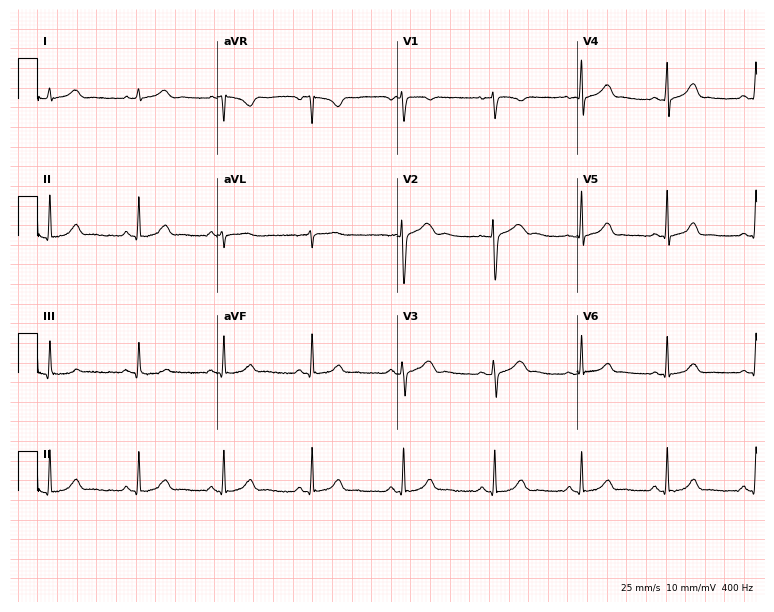
12-lead ECG (7.3-second recording at 400 Hz) from a female patient, 35 years old. Labelled as a normal ECG.